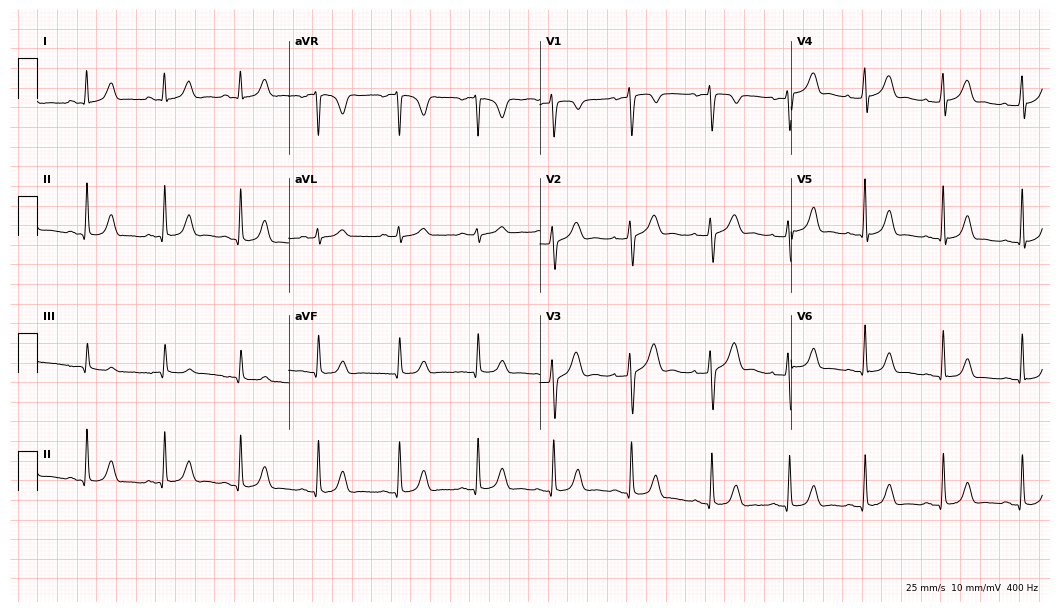
12-lead ECG from a woman, 31 years old. Labelled as a normal ECG.